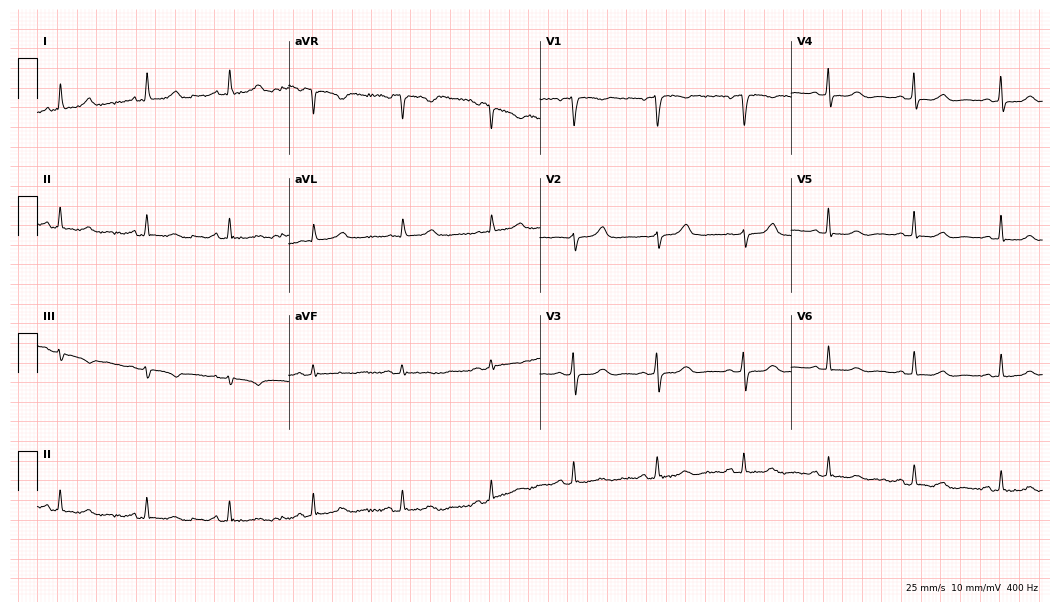
12-lead ECG from a 64-year-old female patient (10.2-second recording at 400 Hz). Recorded interpretation: within normal limits.